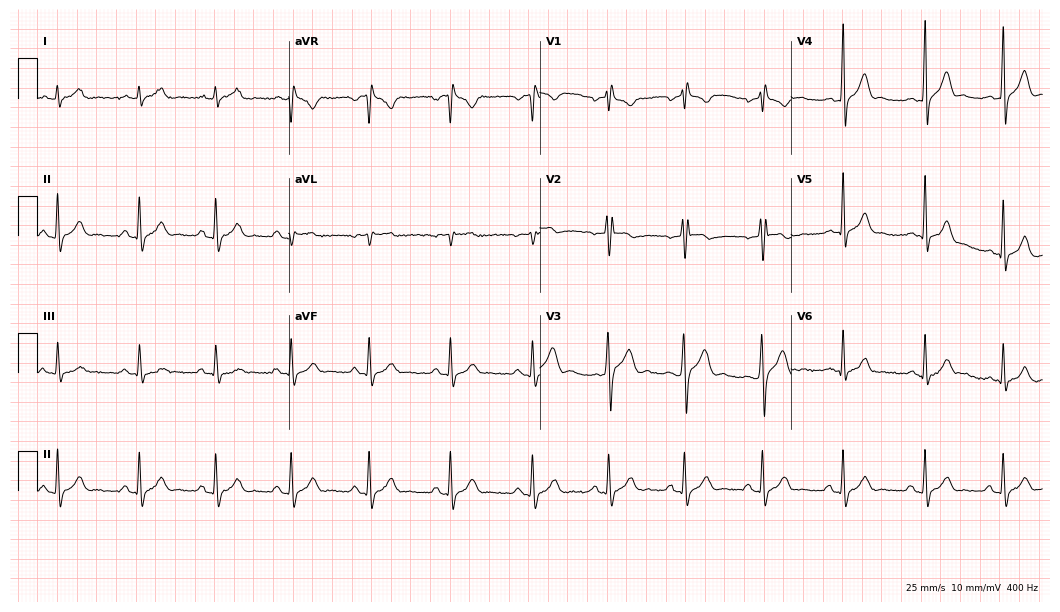
Standard 12-lead ECG recorded from a 26-year-old male patient (10.2-second recording at 400 Hz). None of these six findings is recorded: first-degree AV block, right bundle branch block, left bundle branch block, sinus bradycardia, atrial fibrillation, sinus tachycardia. Other findings, if any, are not listed.